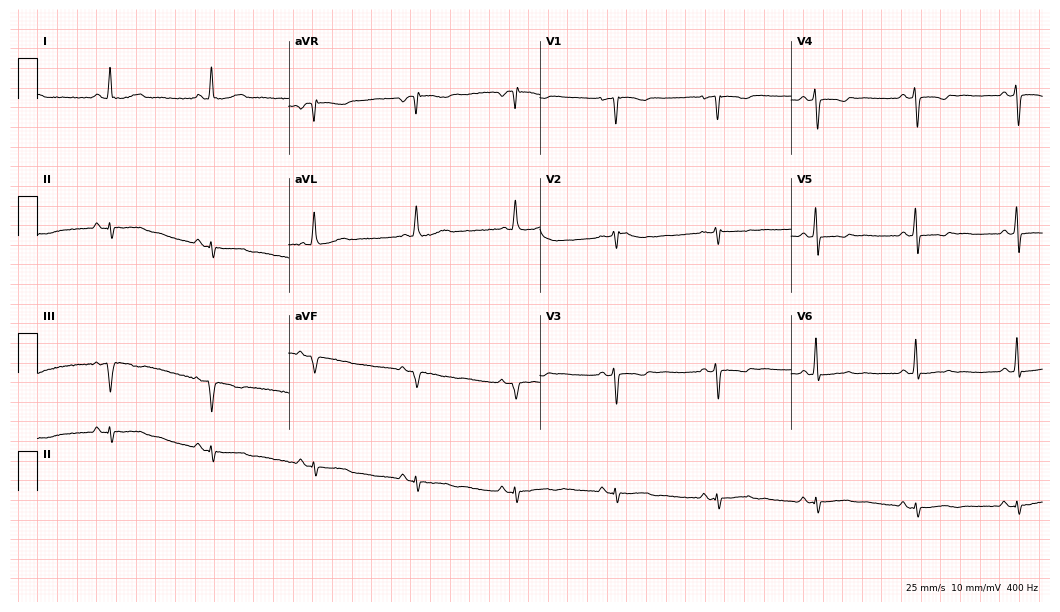
Electrocardiogram, a female, 50 years old. Of the six screened findings (first-degree AV block, right bundle branch block, left bundle branch block, sinus bradycardia, atrial fibrillation, sinus tachycardia), none is recorded.